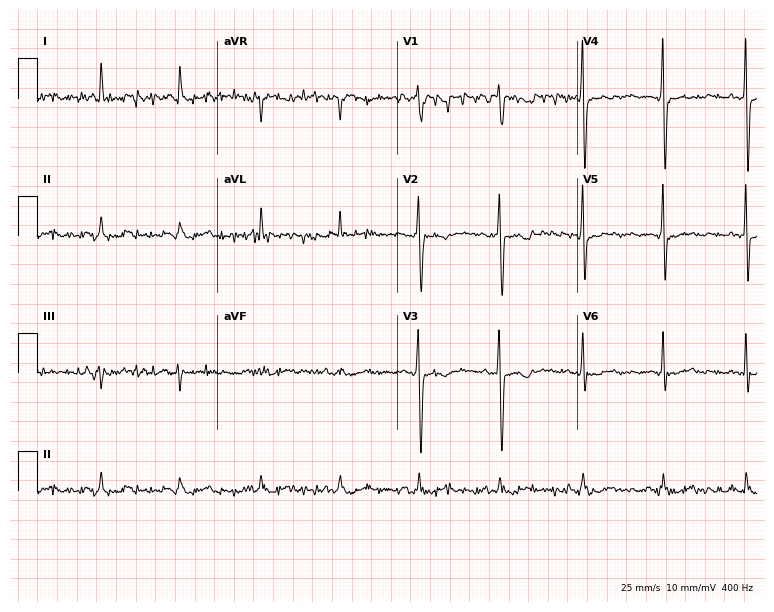
Standard 12-lead ECG recorded from a 70-year-old female (7.3-second recording at 400 Hz). None of these six findings is recorded: first-degree AV block, right bundle branch block, left bundle branch block, sinus bradycardia, atrial fibrillation, sinus tachycardia. Findings outside these six are not listed.